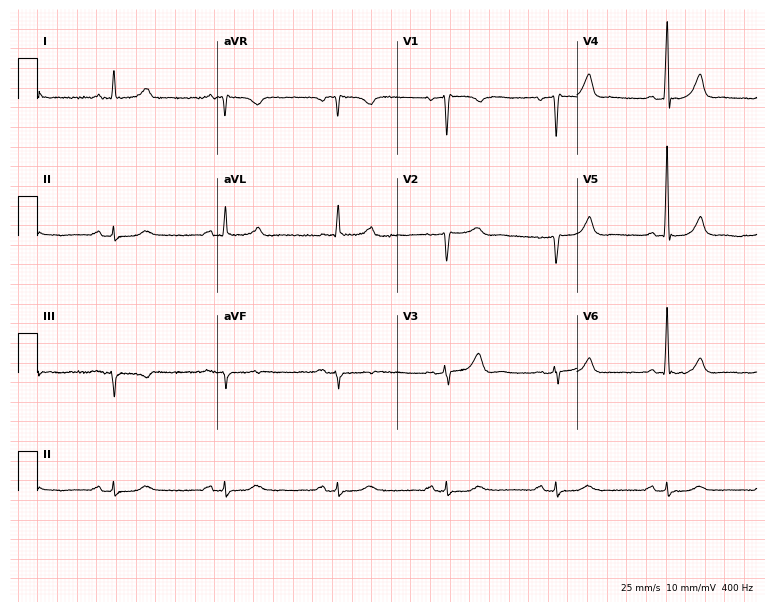
Electrocardiogram (7.3-second recording at 400 Hz), a male, 76 years old. Of the six screened findings (first-degree AV block, right bundle branch block, left bundle branch block, sinus bradycardia, atrial fibrillation, sinus tachycardia), none is recorded. Findings outside these six are not listed.